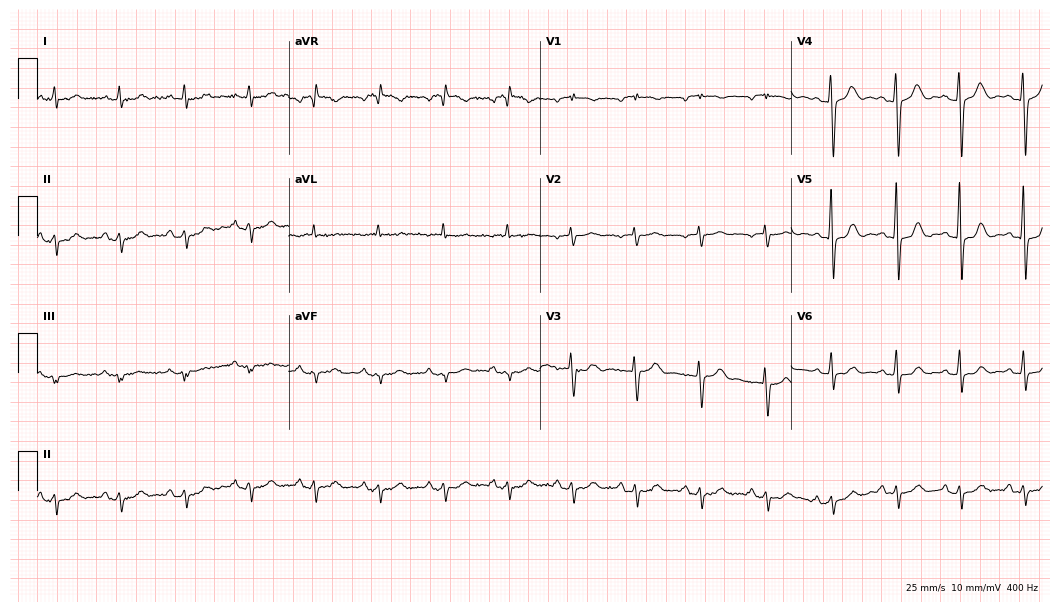
ECG (10.2-second recording at 400 Hz) — a woman, 76 years old. Screened for six findings — first-degree AV block, right bundle branch block, left bundle branch block, sinus bradycardia, atrial fibrillation, sinus tachycardia — none is recorded. Other findings, if any, are not listed.